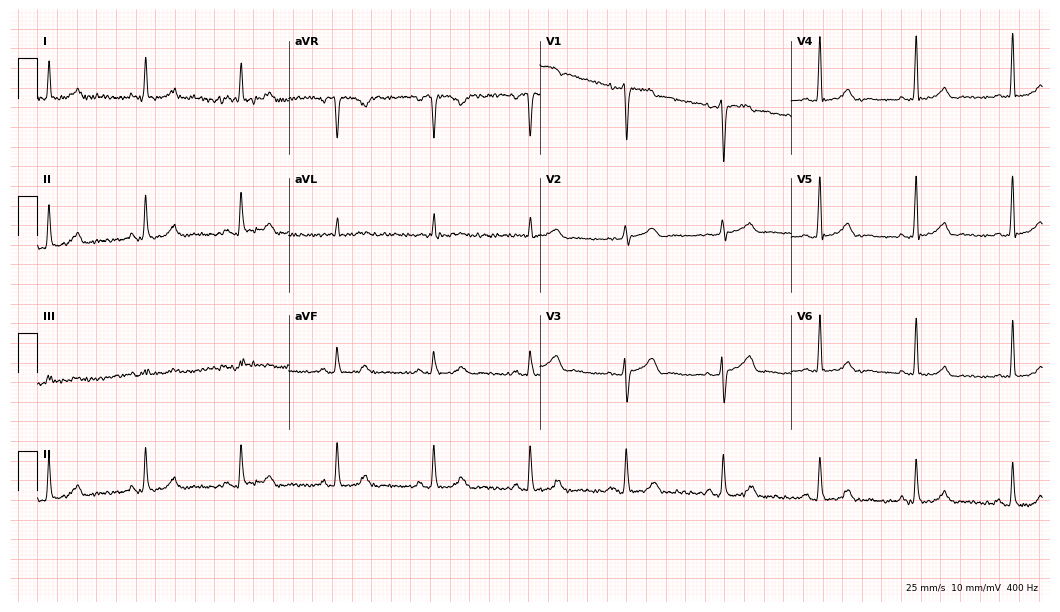
Electrocardiogram, a man, 83 years old. Of the six screened findings (first-degree AV block, right bundle branch block, left bundle branch block, sinus bradycardia, atrial fibrillation, sinus tachycardia), none is recorded.